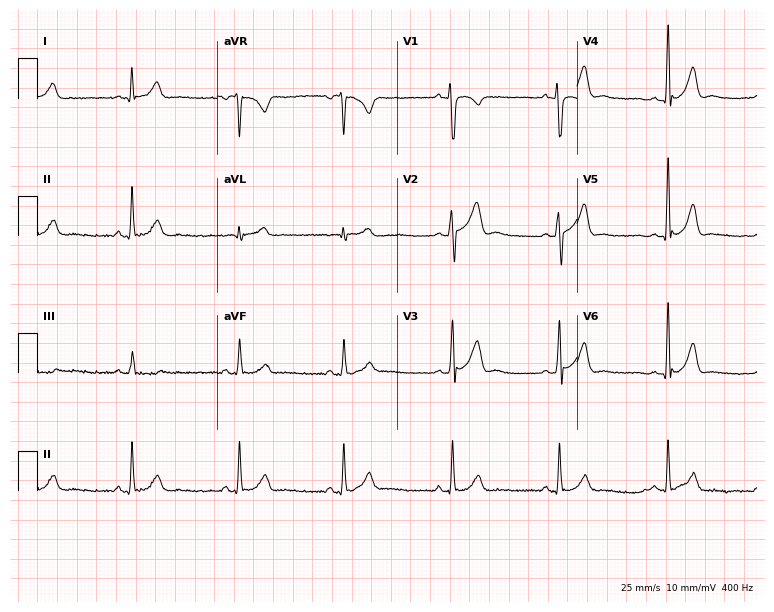
Resting 12-lead electrocardiogram. Patient: a male, 23 years old. None of these six findings is recorded: first-degree AV block, right bundle branch block, left bundle branch block, sinus bradycardia, atrial fibrillation, sinus tachycardia. Findings outside these six are not listed.